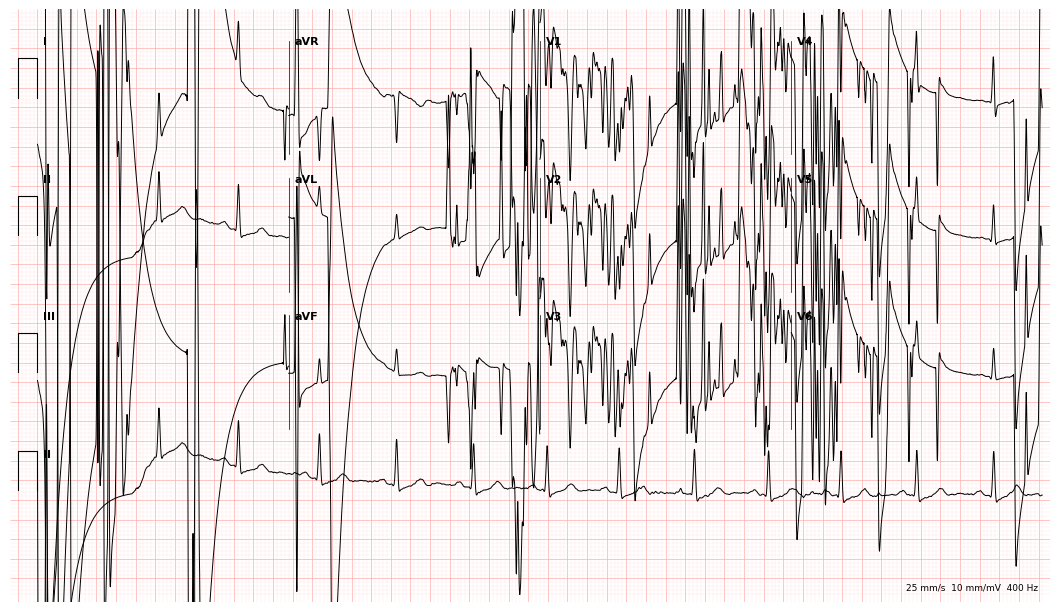
12-lead ECG from a woman, 38 years old. No first-degree AV block, right bundle branch block, left bundle branch block, sinus bradycardia, atrial fibrillation or sinus tachycardia recorded for this tracing. Only these six findings were labelled.